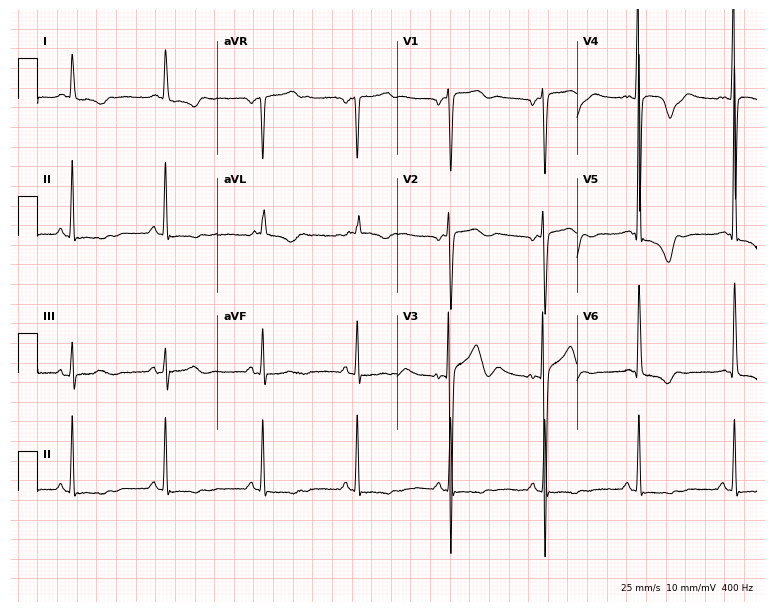
Standard 12-lead ECG recorded from a female, 83 years old (7.3-second recording at 400 Hz). None of these six findings is recorded: first-degree AV block, right bundle branch block, left bundle branch block, sinus bradycardia, atrial fibrillation, sinus tachycardia. Other findings, if any, are not listed.